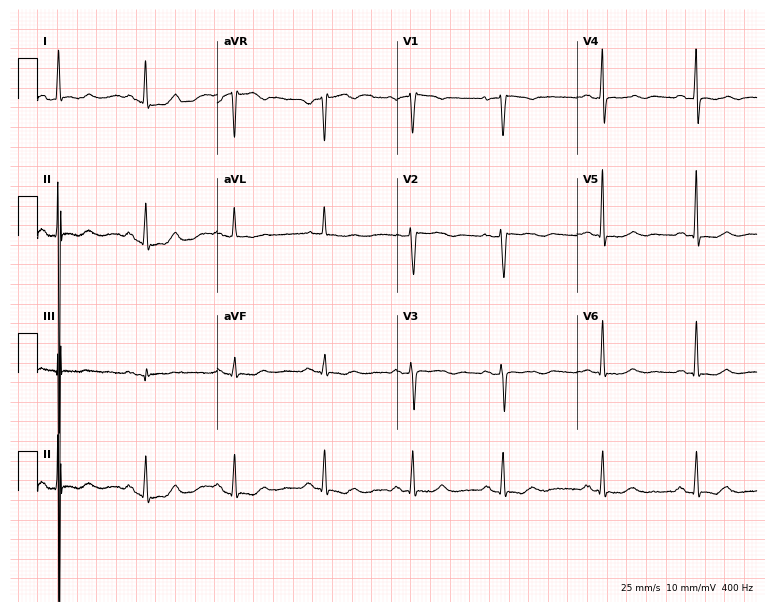
12-lead ECG from an 82-year-old female. Screened for six findings — first-degree AV block, right bundle branch block, left bundle branch block, sinus bradycardia, atrial fibrillation, sinus tachycardia — none is recorded.